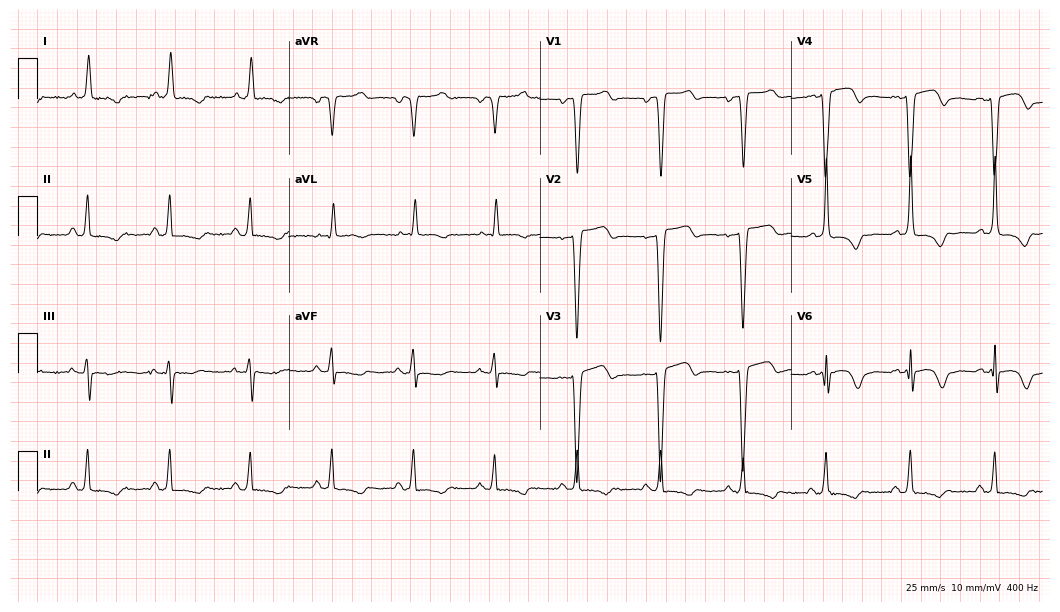
ECG (10.2-second recording at 400 Hz) — a female, 78 years old. Screened for six findings — first-degree AV block, right bundle branch block, left bundle branch block, sinus bradycardia, atrial fibrillation, sinus tachycardia — none is recorded. Other findings, if any, are not listed.